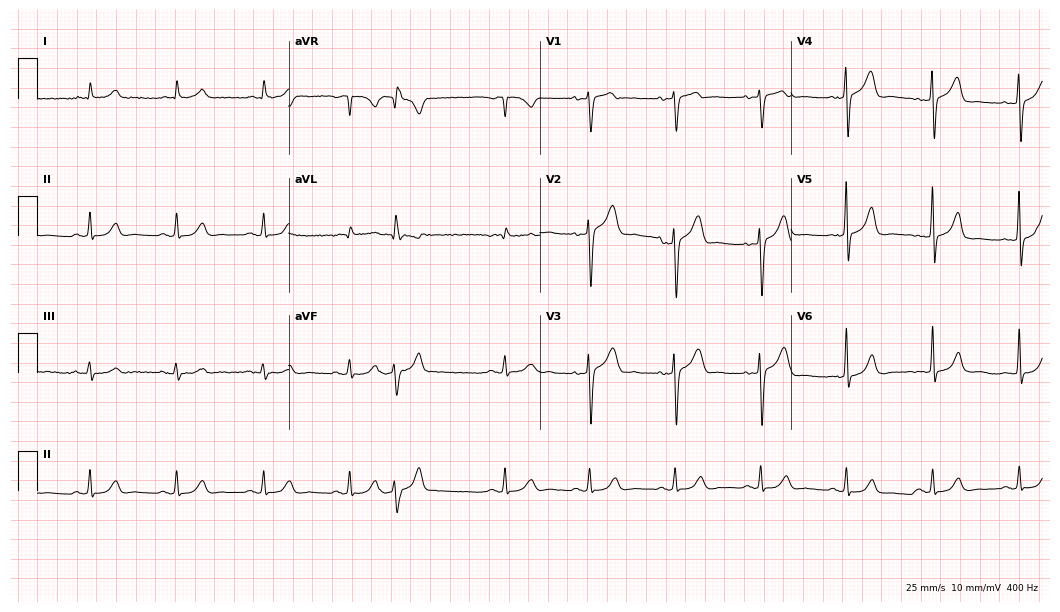
Resting 12-lead electrocardiogram. Patient: a male, 78 years old. None of these six findings is recorded: first-degree AV block, right bundle branch block, left bundle branch block, sinus bradycardia, atrial fibrillation, sinus tachycardia.